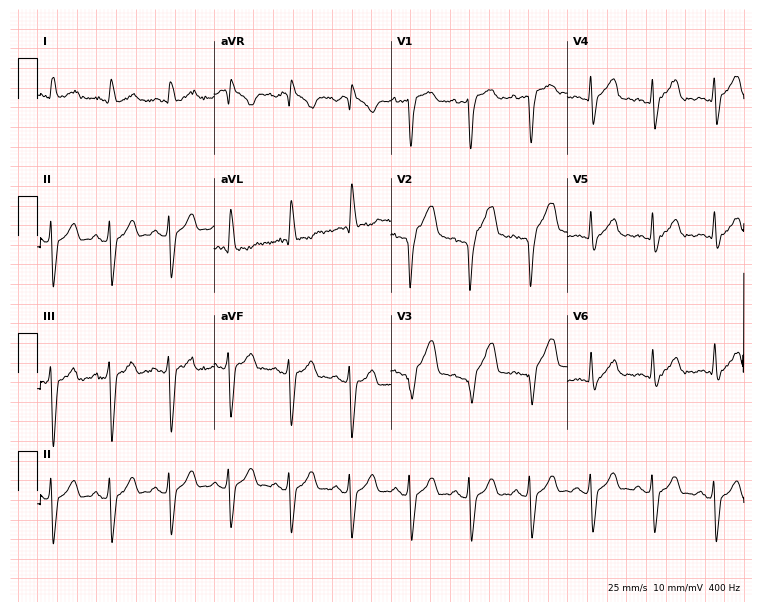
ECG (7.2-second recording at 400 Hz) — a 45-year-old male. Screened for six findings — first-degree AV block, right bundle branch block, left bundle branch block, sinus bradycardia, atrial fibrillation, sinus tachycardia — none is recorded. Only these six findings were labelled.